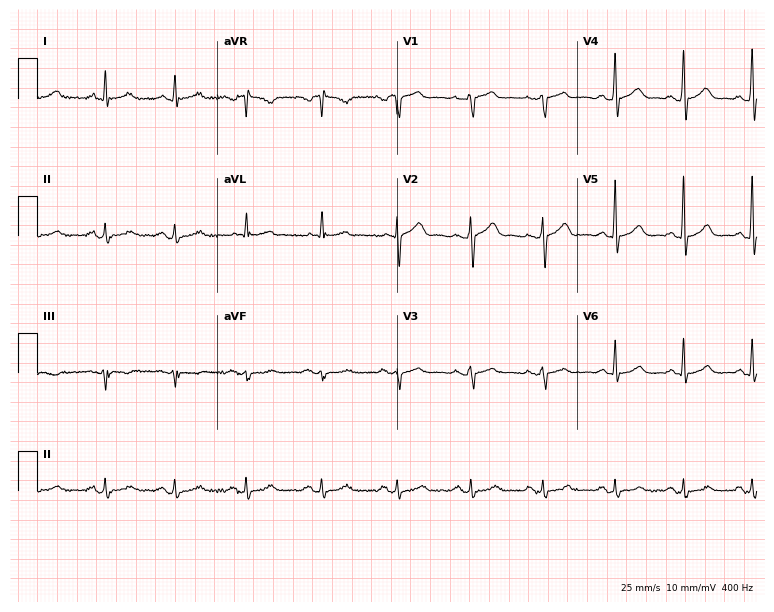
12-lead ECG from a 50-year-old woman. Labelled as a normal ECG.